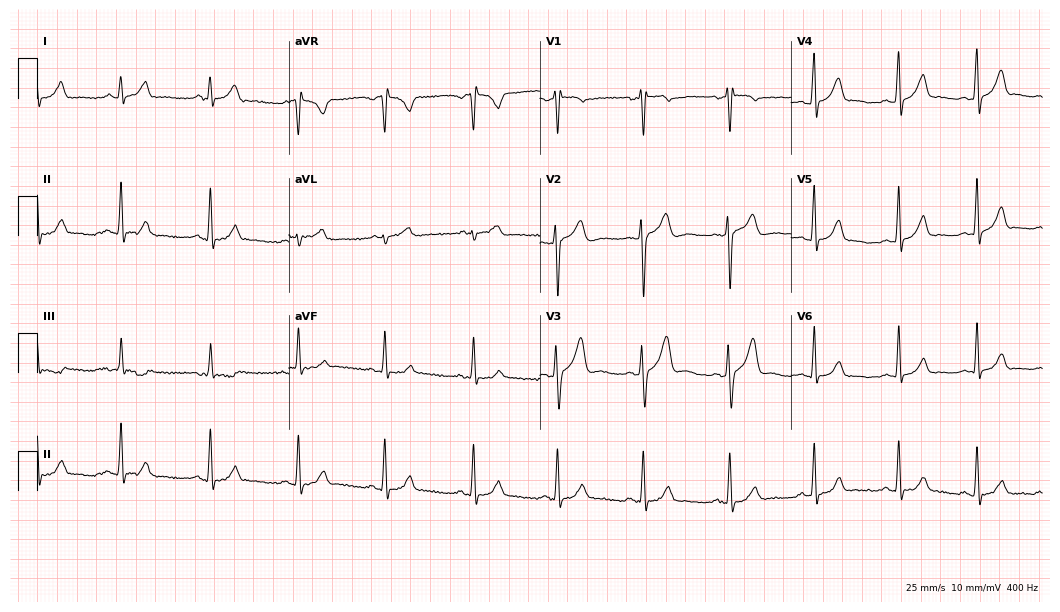
Standard 12-lead ECG recorded from a 20-year-old male (10.2-second recording at 400 Hz). Read as a normal ECG.